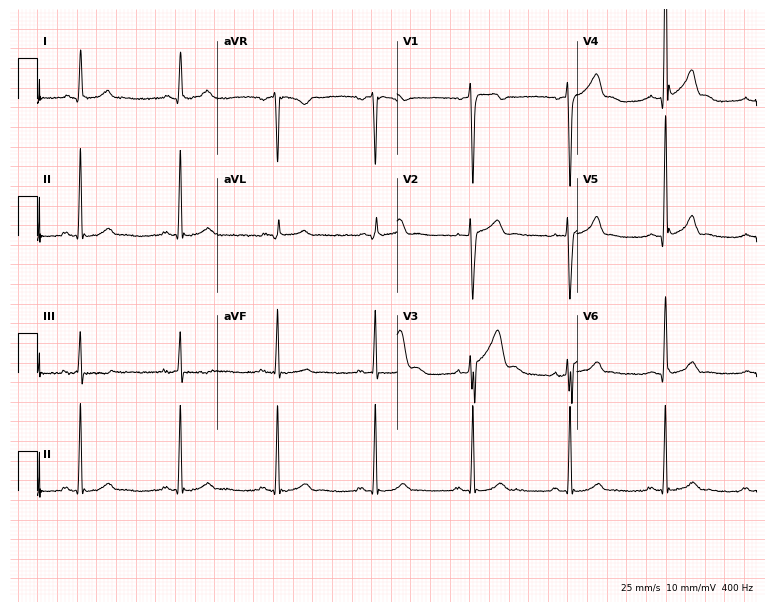
12-lead ECG from a 38-year-old male patient. No first-degree AV block, right bundle branch block, left bundle branch block, sinus bradycardia, atrial fibrillation or sinus tachycardia recorded for this tracing. Findings outside these six are not listed.